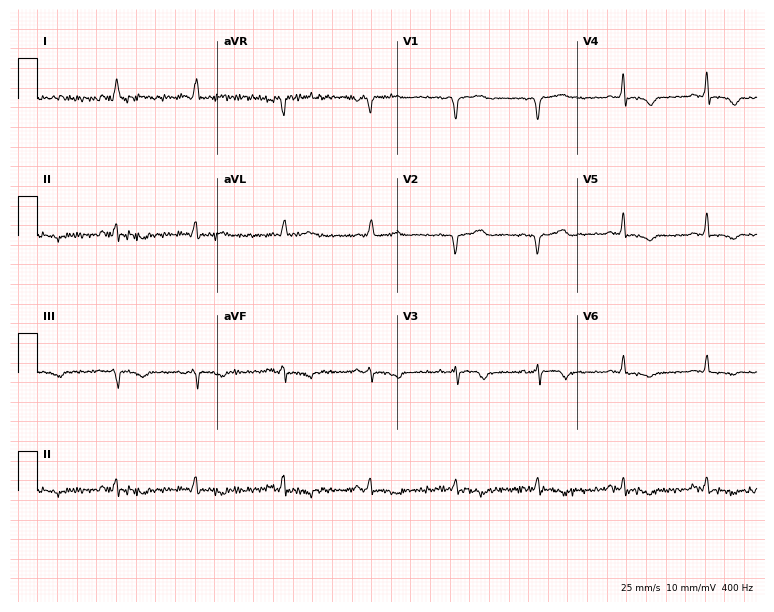
12-lead ECG (7.3-second recording at 400 Hz) from a 72-year-old female patient. Screened for six findings — first-degree AV block, right bundle branch block (RBBB), left bundle branch block (LBBB), sinus bradycardia, atrial fibrillation (AF), sinus tachycardia — none is recorded.